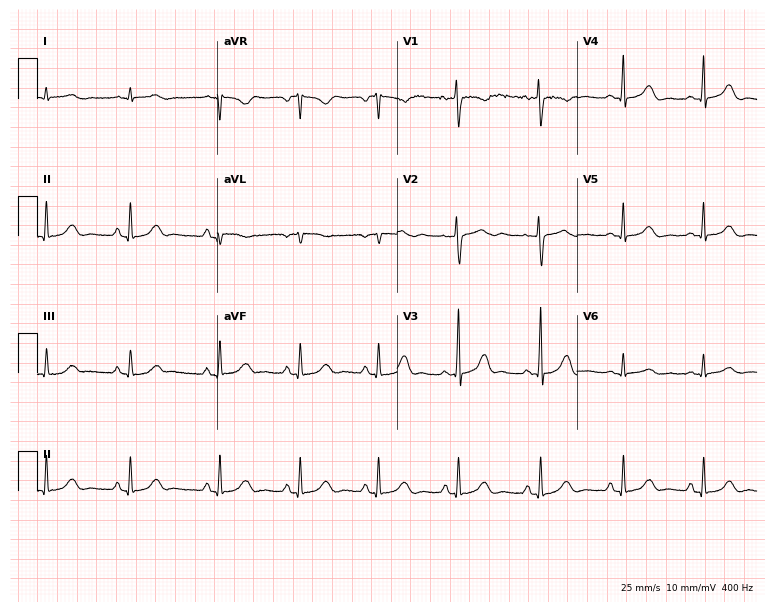
ECG — a 22-year-old woman. Labelled as a normal ECG.